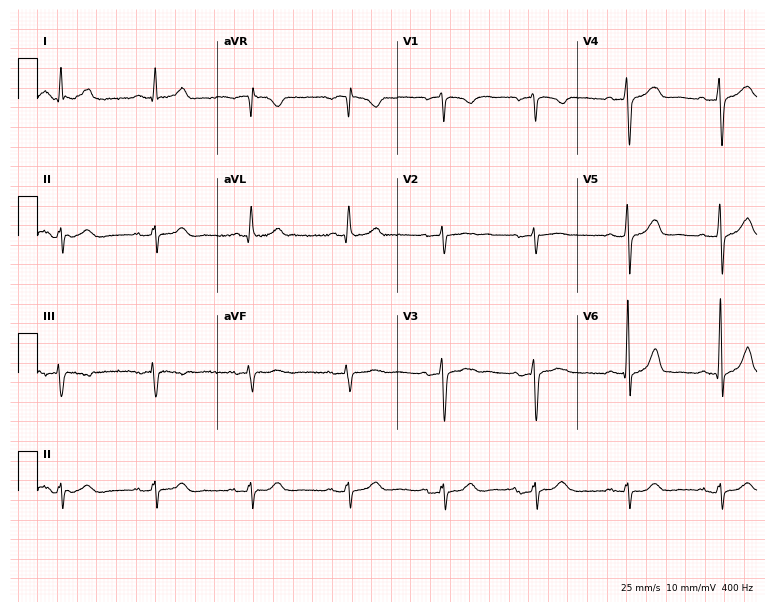
ECG — a 63-year-old male. Screened for six findings — first-degree AV block, right bundle branch block (RBBB), left bundle branch block (LBBB), sinus bradycardia, atrial fibrillation (AF), sinus tachycardia — none is recorded. Other findings, if any, are not listed.